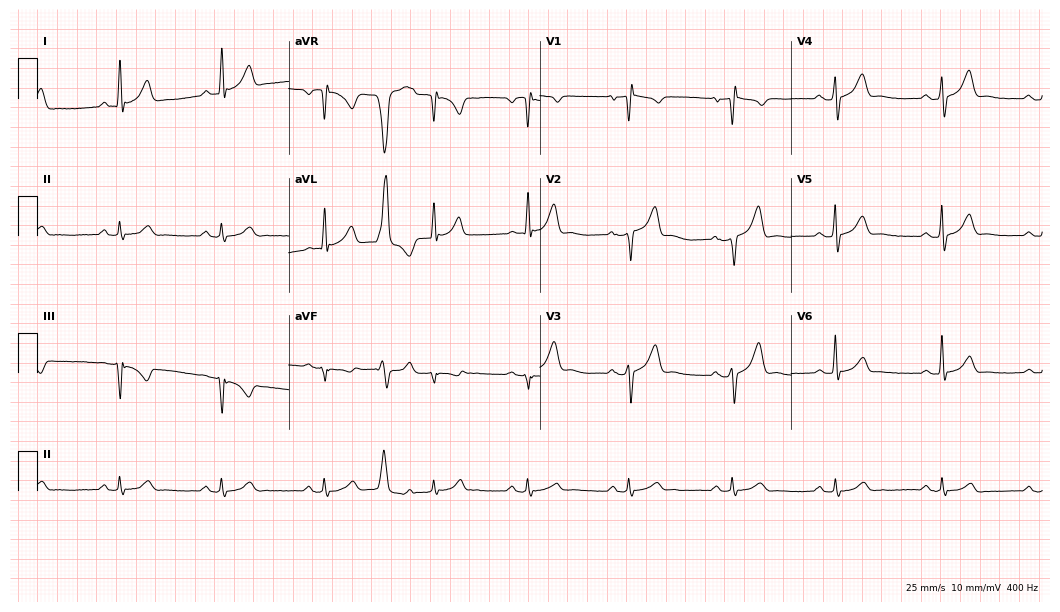
ECG — a 46-year-old male patient. Screened for six findings — first-degree AV block, right bundle branch block (RBBB), left bundle branch block (LBBB), sinus bradycardia, atrial fibrillation (AF), sinus tachycardia — none is recorded.